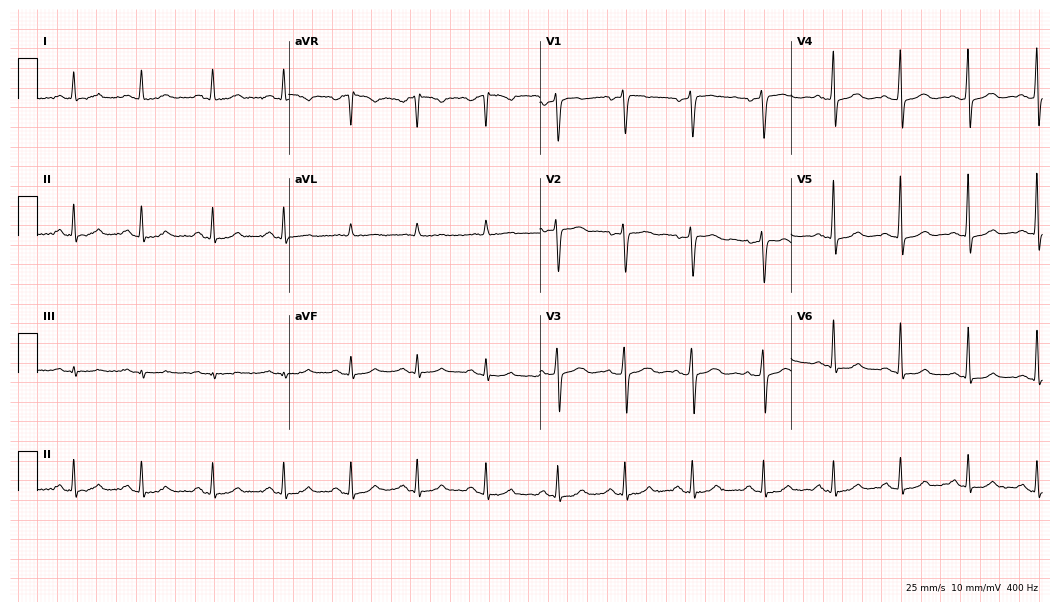
Resting 12-lead electrocardiogram. Patient: a 55-year-old woman. Read as a normal ECG.